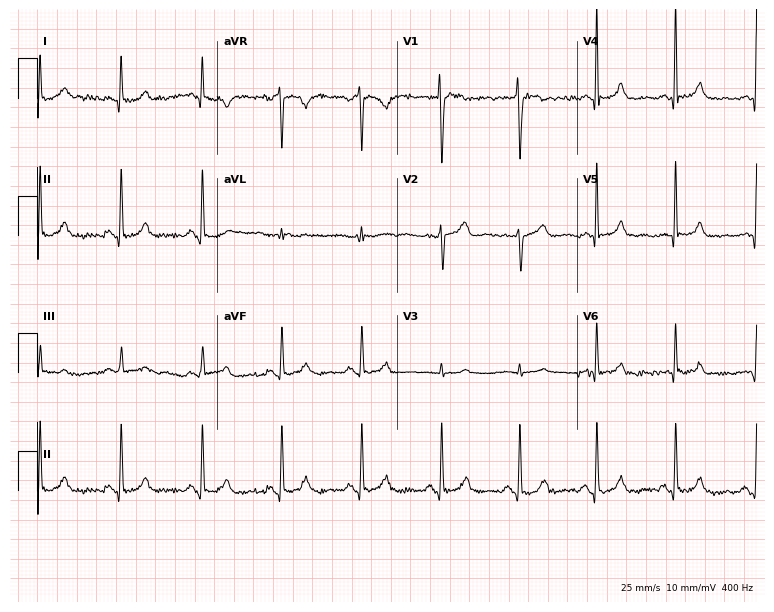
ECG (7.3-second recording at 400 Hz) — a male patient, 43 years old. Labelled as a normal ECG.